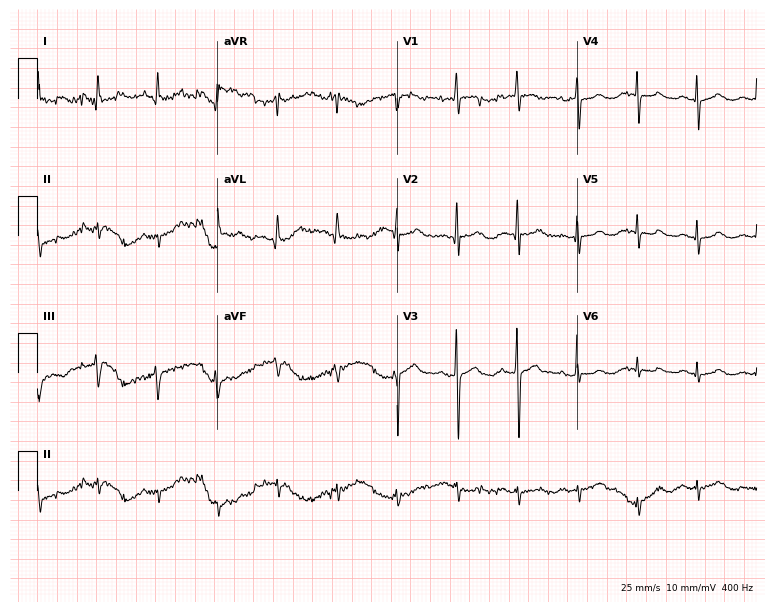
Electrocardiogram (7.3-second recording at 400 Hz), a 73-year-old woman. Of the six screened findings (first-degree AV block, right bundle branch block (RBBB), left bundle branch block (LBBB), sinus bradycardia, atrial fibrillation (AF), sinus tachycardia), none is recorded.